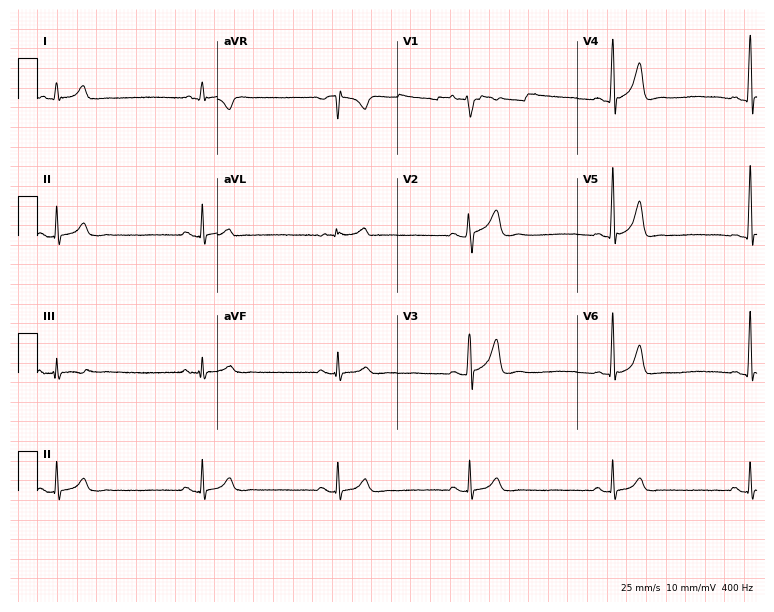
12-lead ECG from a male patient, 22 years old. Shows sinus bradycardia (a sinus rate of 50 beats per minute or less).